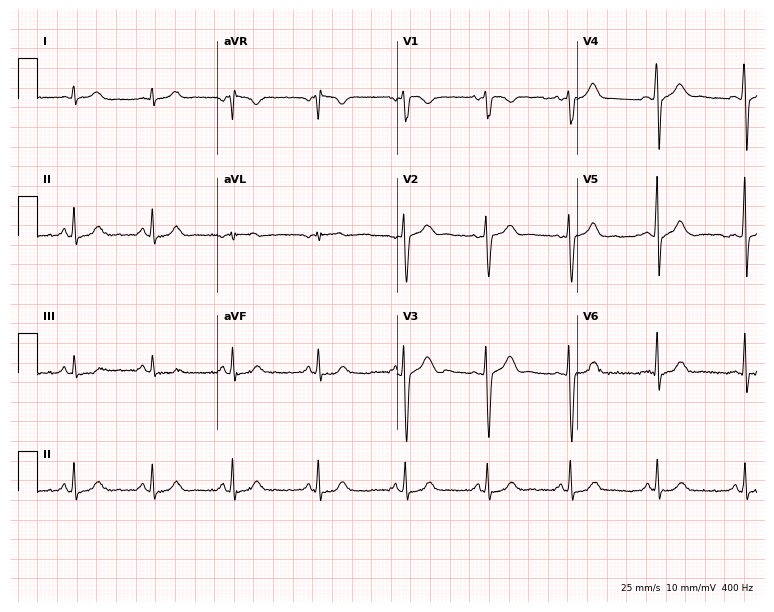
12-lead ECG (7.3-second recording at 400 Hz) from a 31-year-old female patient. Labelled as a normal ECG.